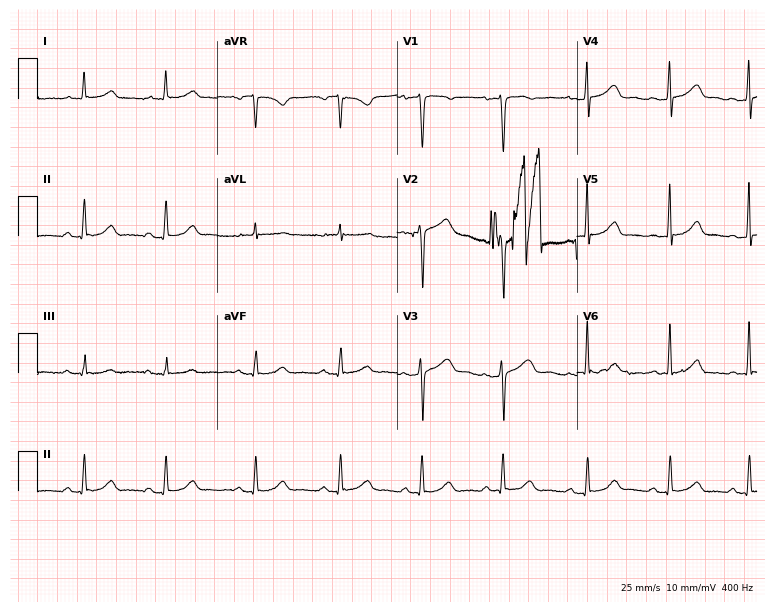
Standard 12-lead ECG recorded from a female, 56 years old. Read as a normal ECG.